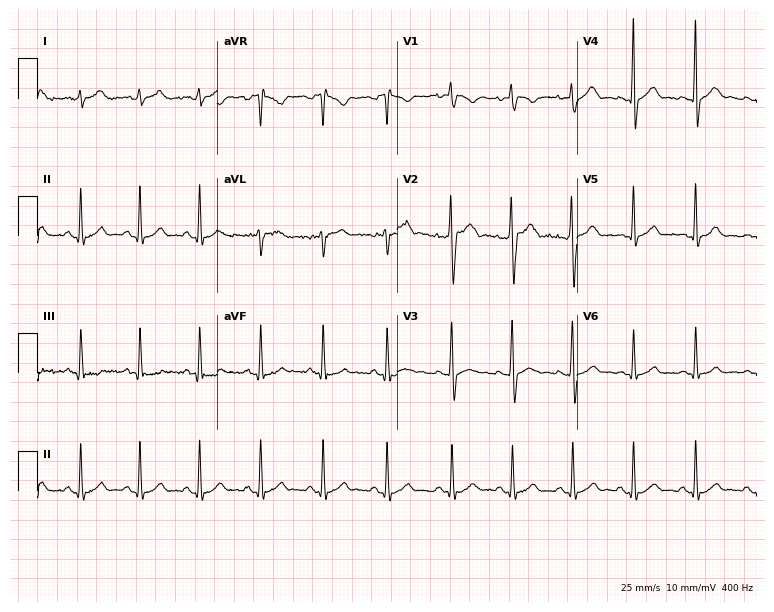
ECG (7.3-second recording at 400 Hz) — a 22-year-old man. Screened for six findings — first-degree AV block, right bundle branch block, left bundle branch block, sinus bradycardia, atrial fibrillation, sinus tachycardia — none is recorded. Other findings, if any, are not listed.